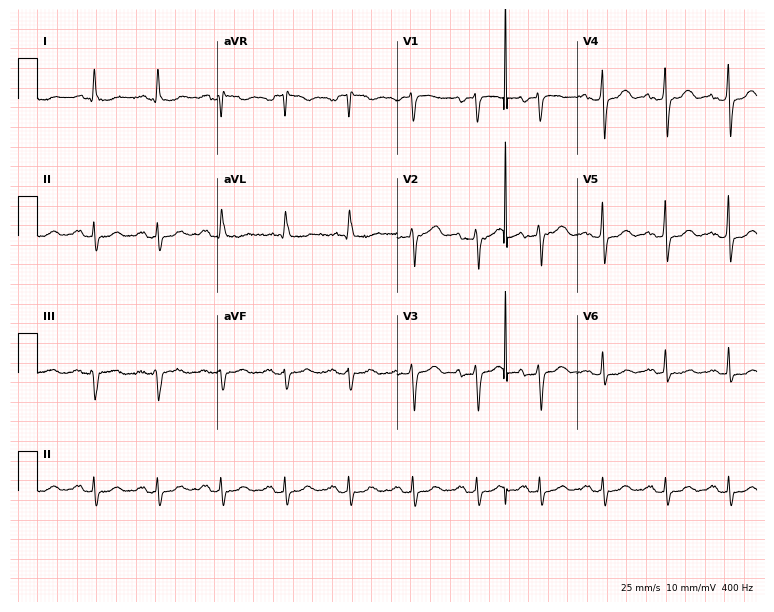
ECG — a female, 70 years old. Labelled as a normal ECG.